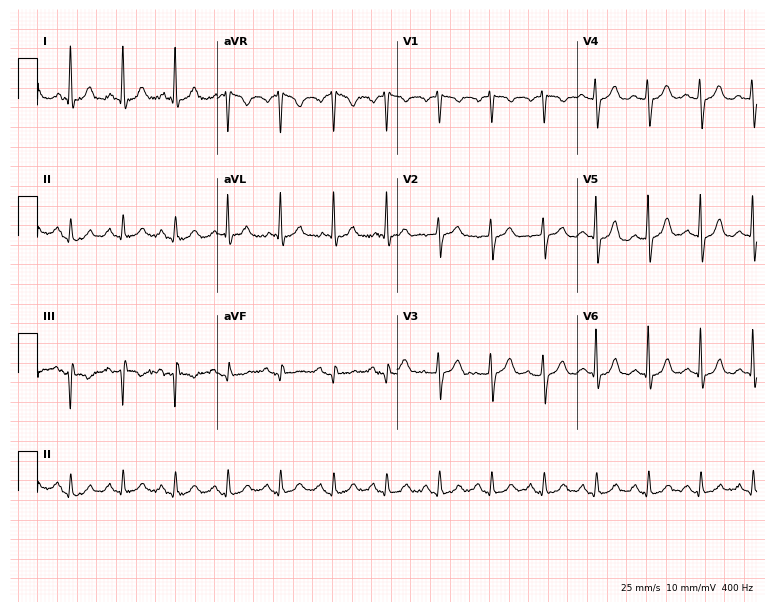
Electrocardiogram (7.3-second recording at 400 Hz), a 79-year-old woman. Of the six screened findings (first-degree AV block, right bundle branch block, left bundle branch block, sinus bradycardia, atrial fibrillation, sinus tachycardia), none is recorded.